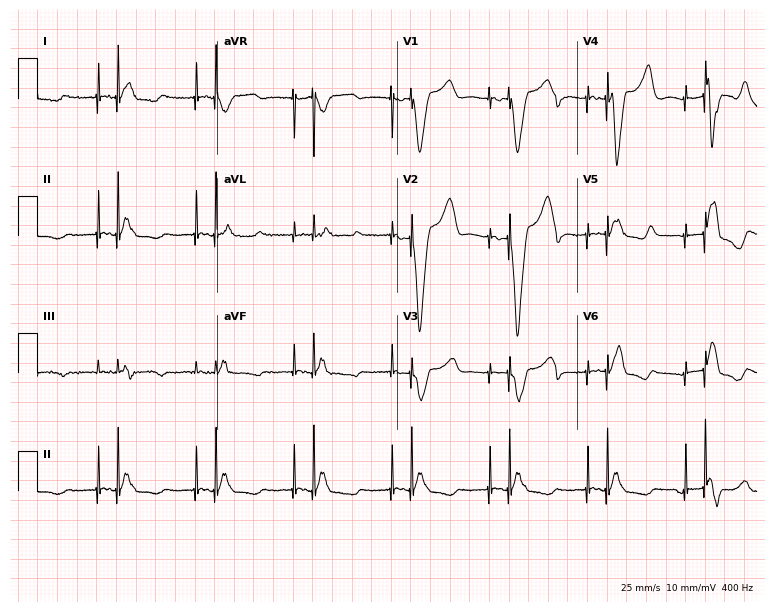
Standard 12-lead ECG recorded from an 83-year-old man. None of these six findings is recorded: first-degree AV block, right bundle branch block, left bundle branch block, sinus bradycardia, atrial fibrillation, sinus tachycardia. Other findings, if any, are not listed.